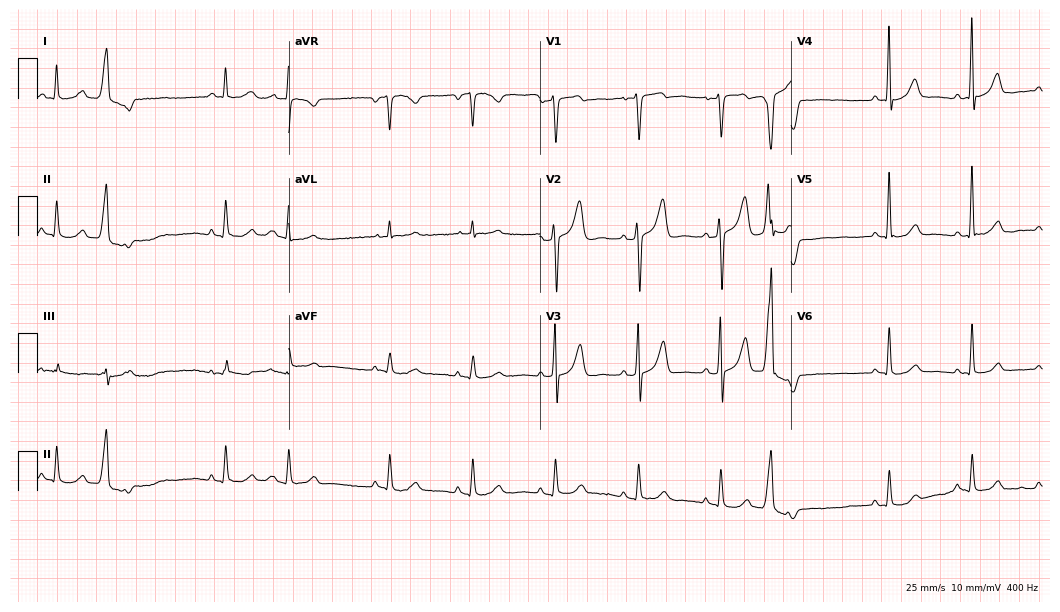
12-lead ECG from a male patient, 78 years old (10.2-second recording at 400 Hz). No first-degree AV block, right bundle branch block, left bundle branch block, sinus bradycardia, atrial fibrillation or sinus tachycardia recorded for this tracing.